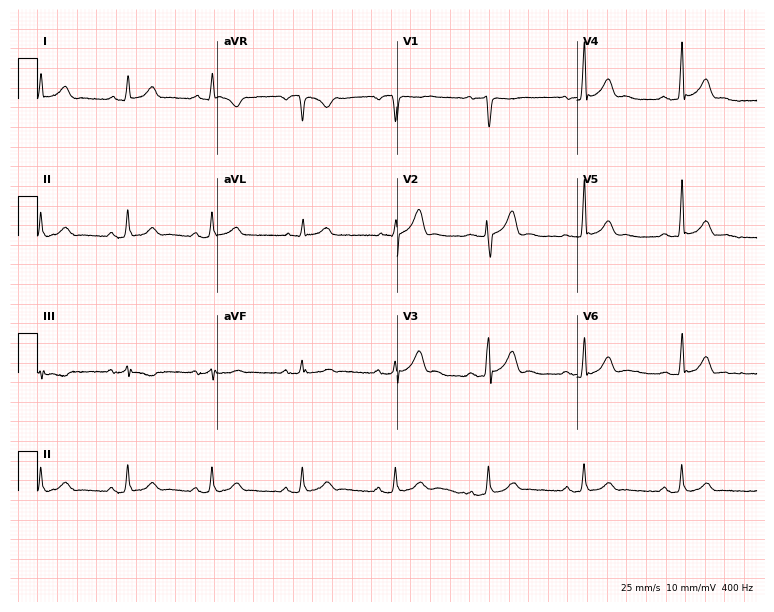
12-lead ECG from a male patient, 35 years old. Labelled as a normal ECG.